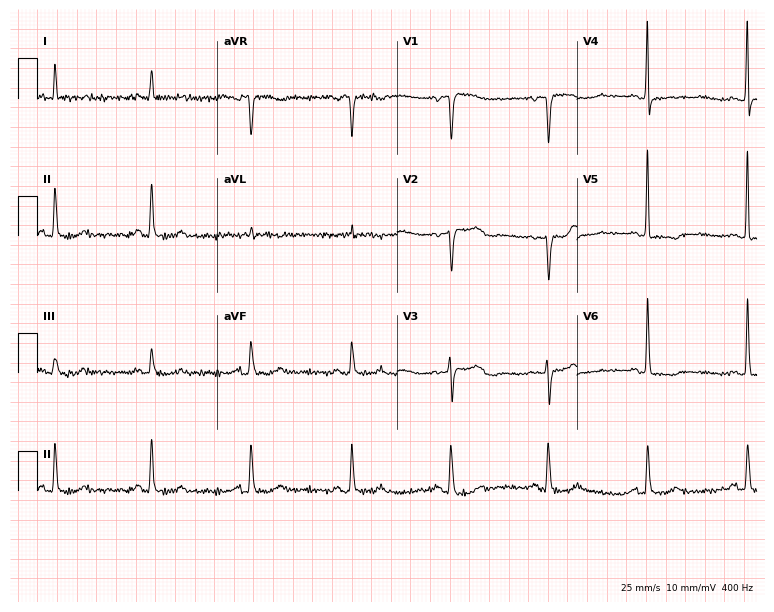
12-lead ECG from an 83-year-old female. No first-degree AV block, right bundle branch block (RBBB), left bundle branch block (LBBB), sinus bradycardia, atrial fibrillation (AF) or sinus tachycardia recorded for this tracing. Findings outside these six are not listed.